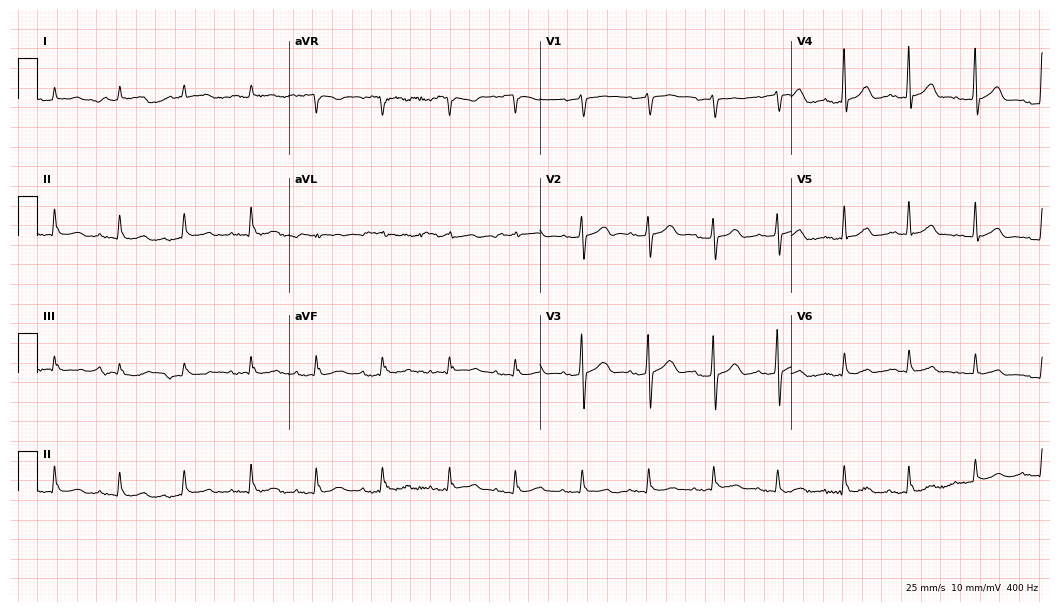
12-lead ECG from a man, 78 years old. Recorded interpretation: within normal limits.